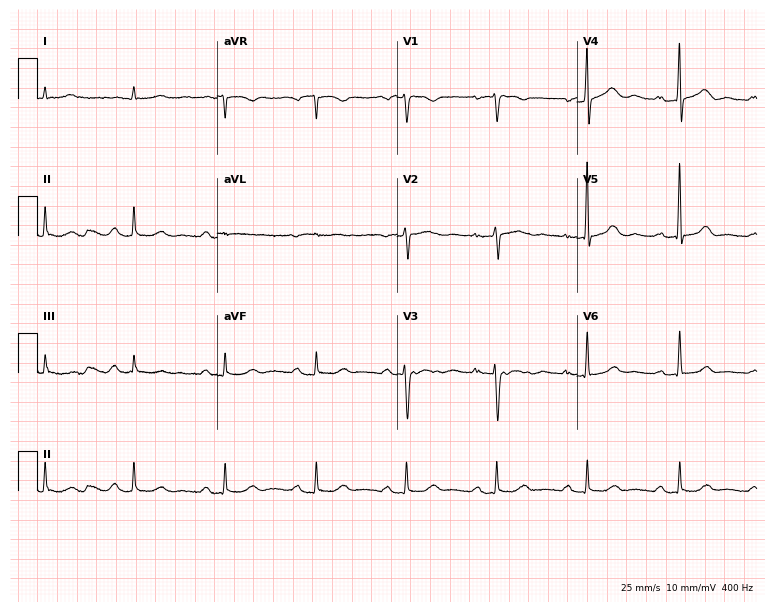
Standard 12-lead ECG recorded from a male patient, 83 years old (7.3-second recording at 400 Hz). The tracing shows first-degree AV block.